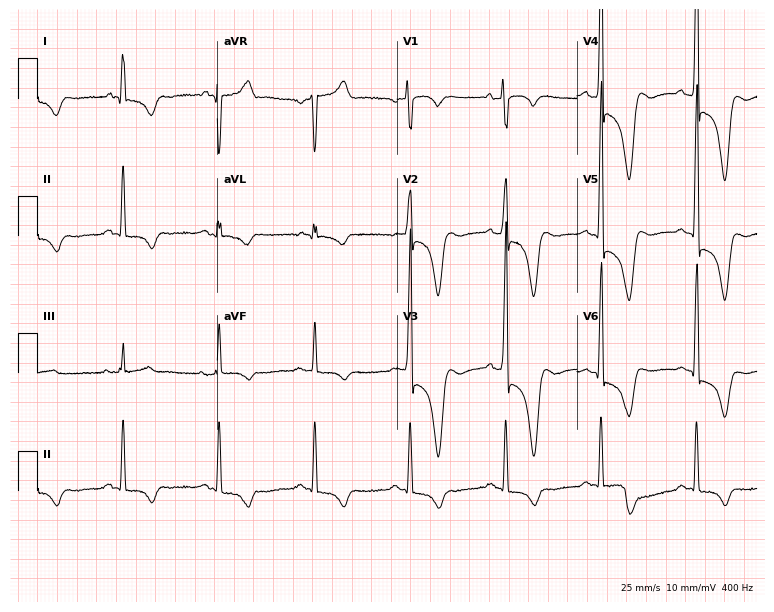
ECG — a 51-year-old man. Screened for six findings — first-degree AV block, right bundle branch block, left bundle branch block, sinus bradycardia, atrial fibrillation, sinus tachycardia — none is recorded. Only these six findings were labelled.